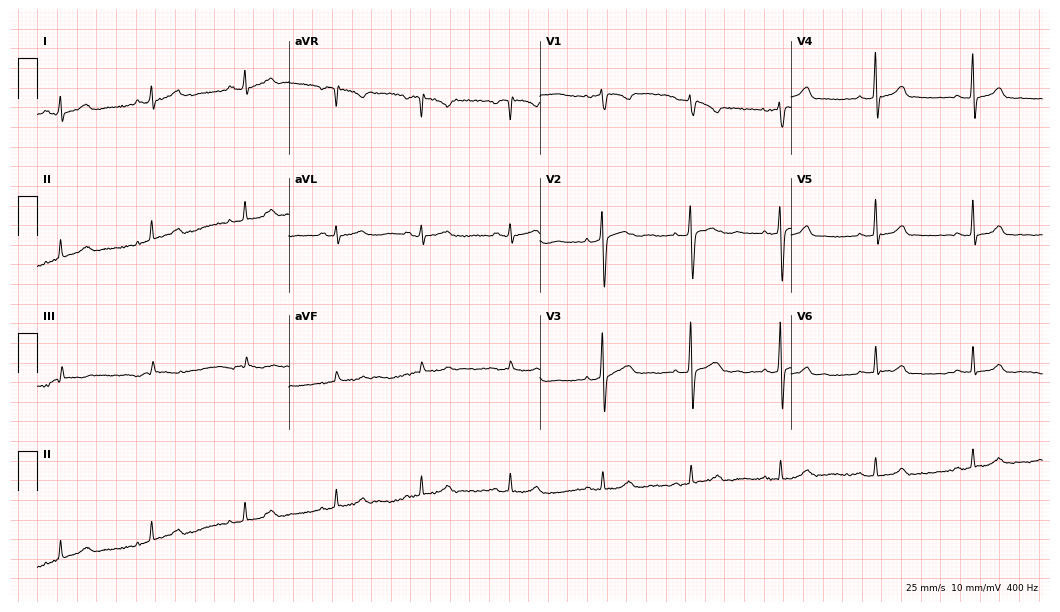
Standard 12-lead ECG recorded from a 33-year-old female (10.2-second recording at 400 Hz). None of these six findings is recorded: first-degree AV block, right bundle branch block, left bundle branch block, sinus bradycardia, atrial fibrillation, sinus tachycardia.